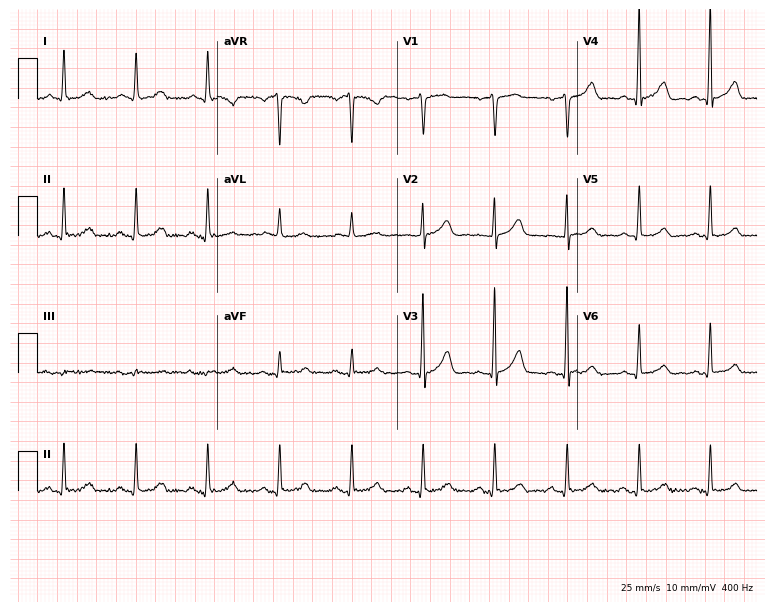
12-lead ECG from a male patient, 48 years old (7.3-second recording at 400 Hz). No first-degree AV block, right bundle branch block, left bundle branch block, sinus bradycardia, atrial fibrillation or sinus tachycardia recorded for this tracing.